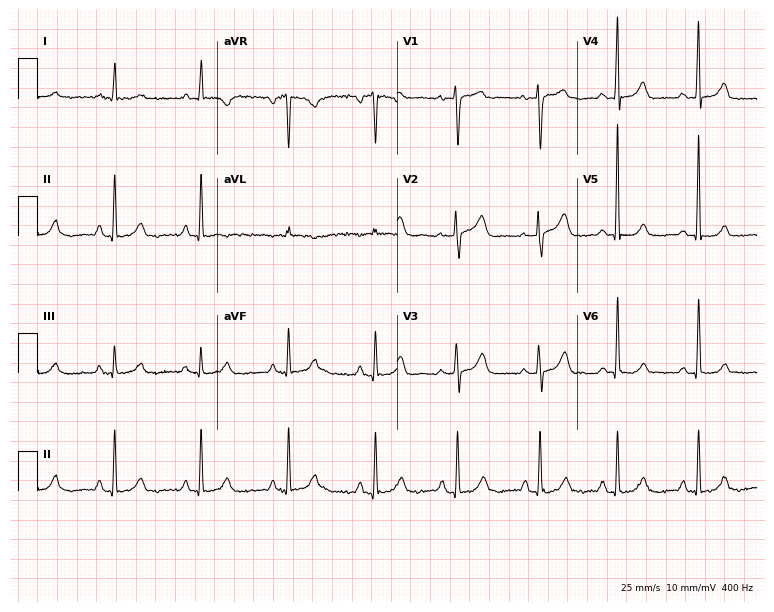
Electrocardiogram (7.3-second recording at 400 Hz), a 48-year-old female. Overall reading on record: normal ECG.